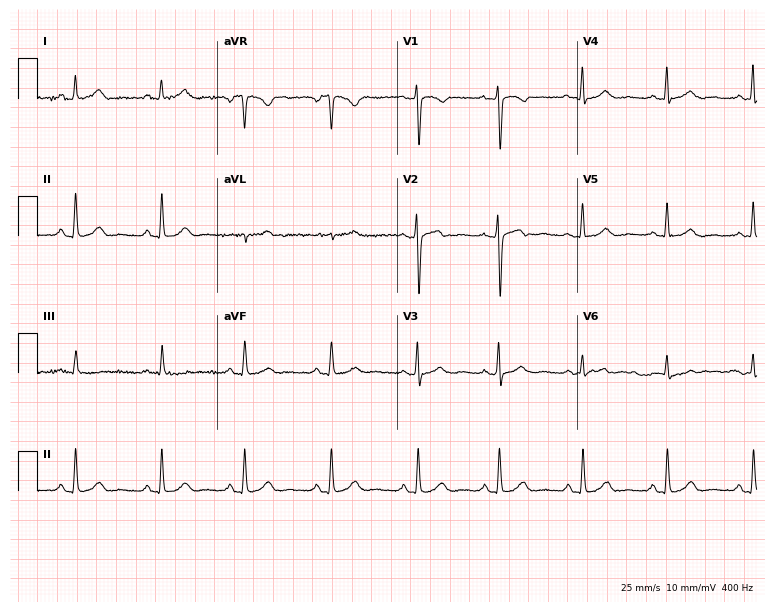
Standard 12-lead ECG recorded from a 52-year-old female. Read as a normal ECG.